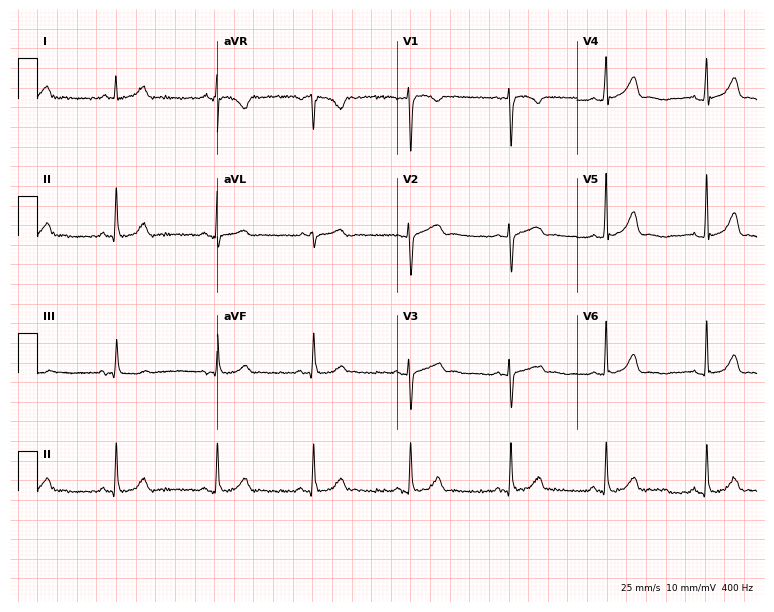
ECG (7.3-second recording at 400 Hz) — a 24-year-old female patient. Screened for six findings — first-degree AV block, right bundle branch block (RBBB), left bundle branch block (LBBB), sinus bradycardia, atrial fibrillation (AF), sinus tachycardia — none is recorded. Findings outside these six are not listed.